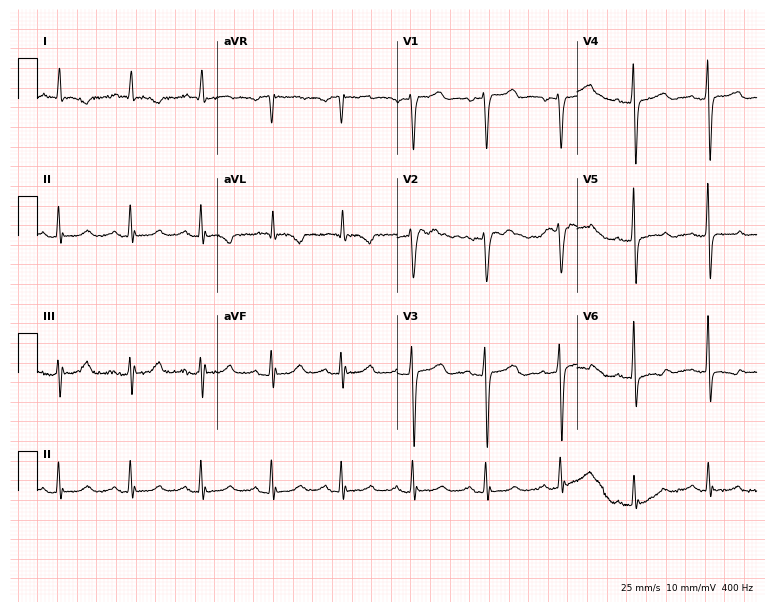
Resting 12-lead electrocardiogram (7.3-second recording at 400 Hz). Patient: a woman, 62 years old. None of these six findings is recorded: first-degree AV block, right bundle branch block (RBBB), left bundle branch block (LBBB), sinus bradycardia, atrial fibrillation (AF), sinus tachycardia. Findings outside these six are not listed.